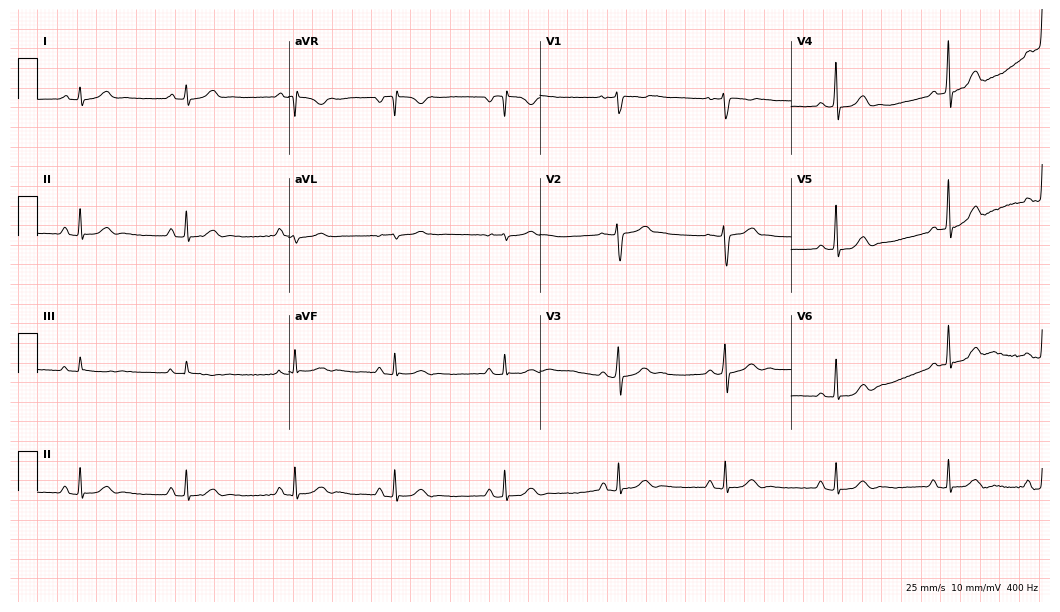
ECG — a woman, 25 years old. Labelled as a normal ECG.